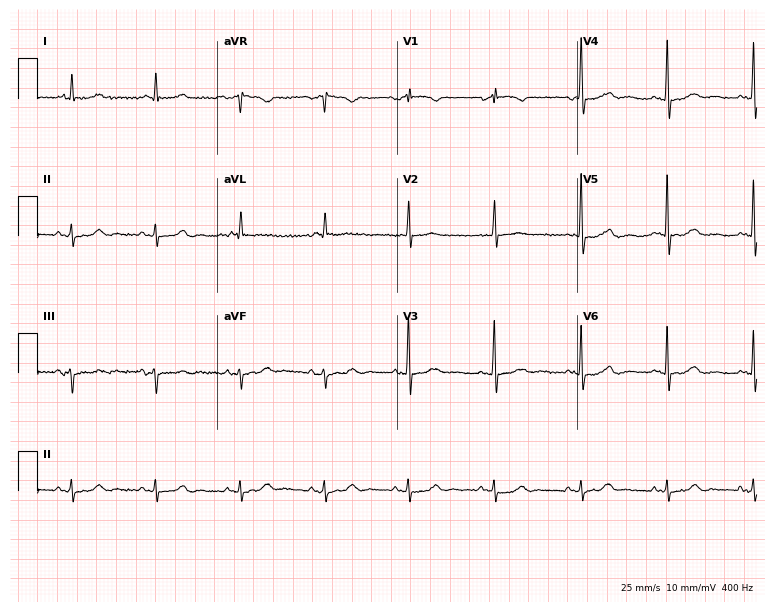
Standard 12-lead ECG recorded from a male, 84 years old (7.3-second recording at 400 Hz). Read as a normal ECG.